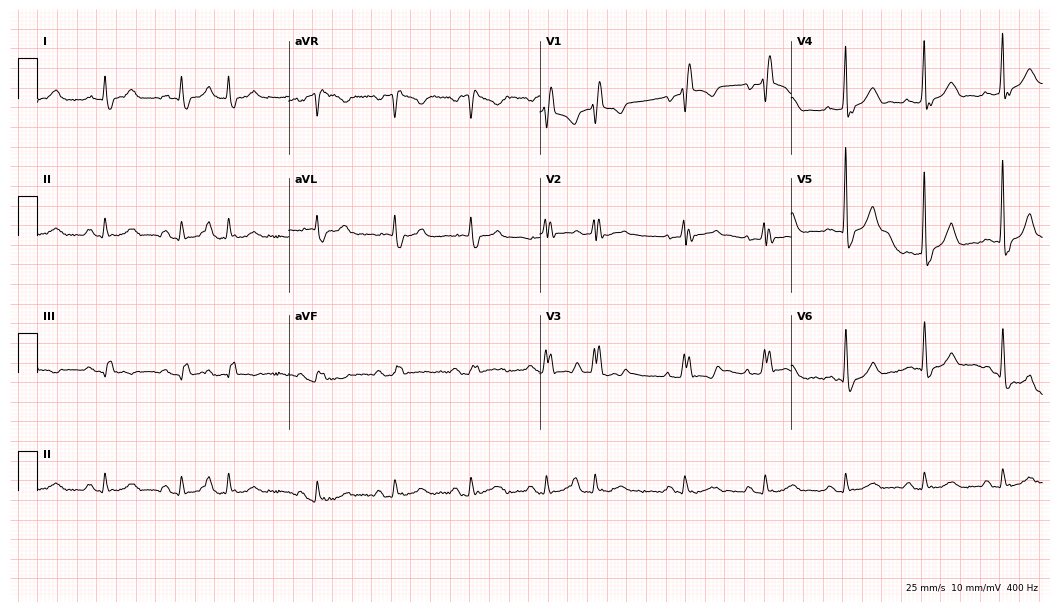
12-lead ECG from a man, 69 years old (10.2-second recording at 400 Hz). Shows right bundle branch block.